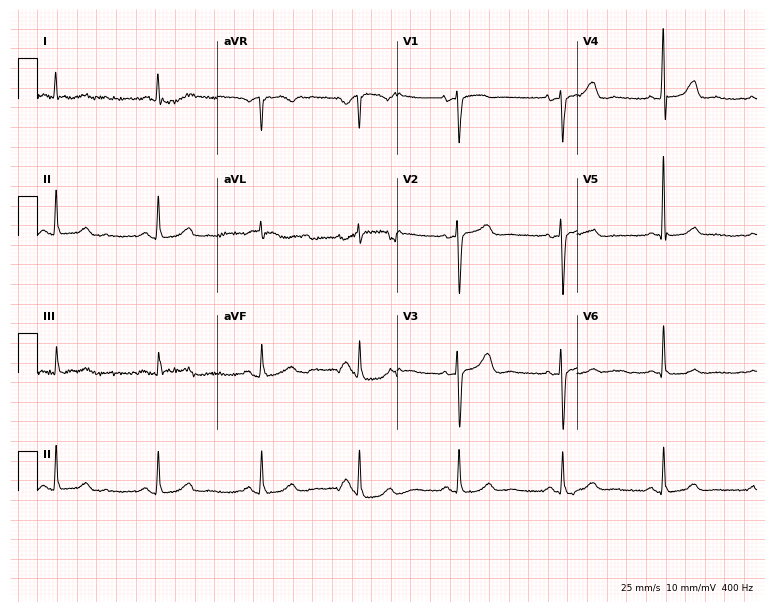
12-lead ECG (7.3-second recording at 400 Hz) from a 63-year-old female. Labelled as a normal ECG.